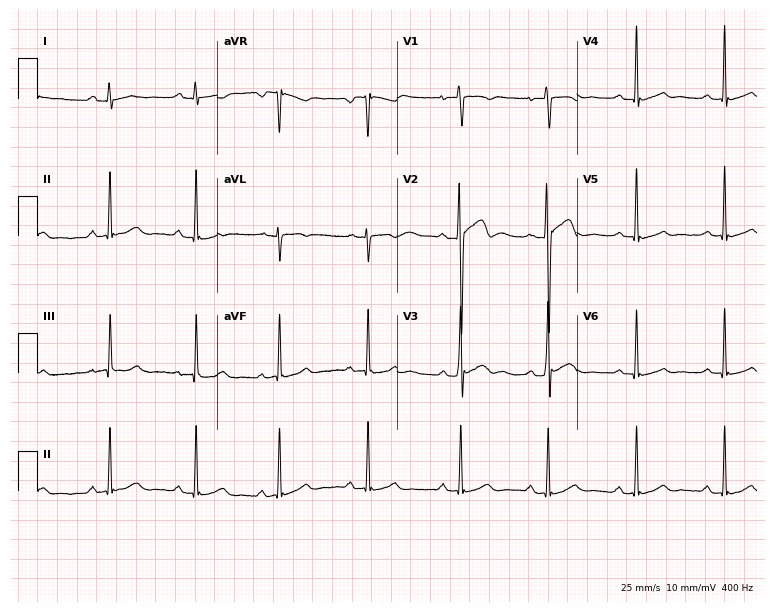
Electrocardiogram (7.3-second recording at 400 Hz), a 17-year-old male. Overall reading on record: normal ECG.